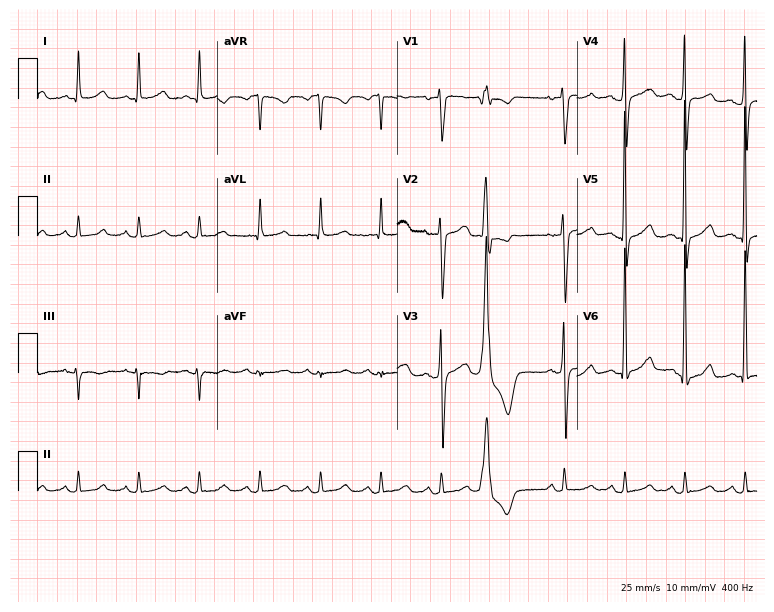
Electrocardiogram (7.3-second recording at 400 Hz), a female patient, 59 years old. Of the six screened findings (first-degree AV block, right bundle branch block (RBBB), left bundle branch block (LBBB), sinus bradycardia, atrial fibrillation (AF), sinus tachycardia), none is recorded. Findings outside these six are not listed.